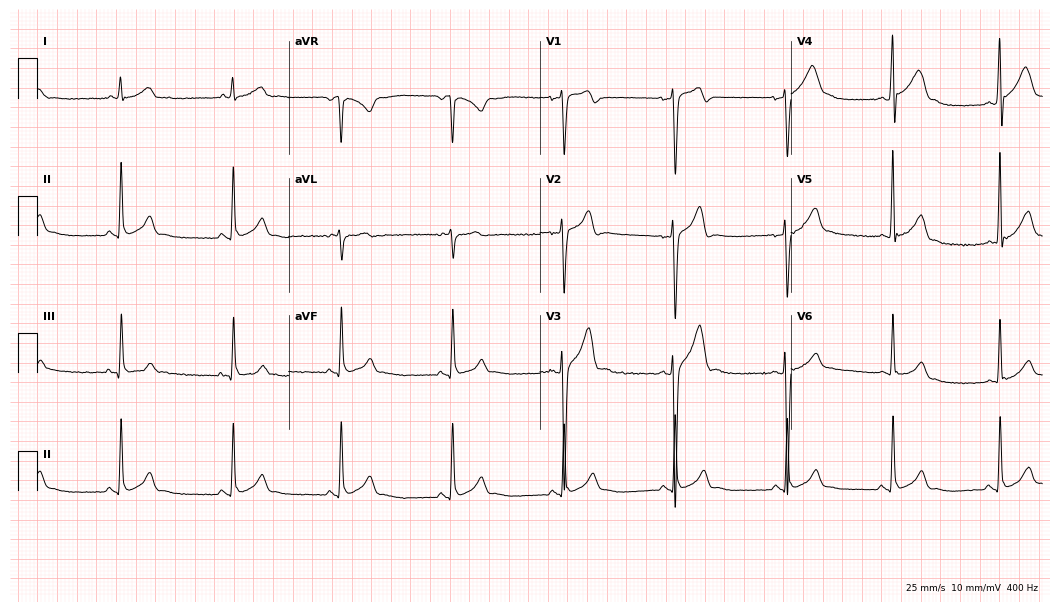
Electrocardiogram, a 33-year-old male. Overall reading on record: normal ECG.